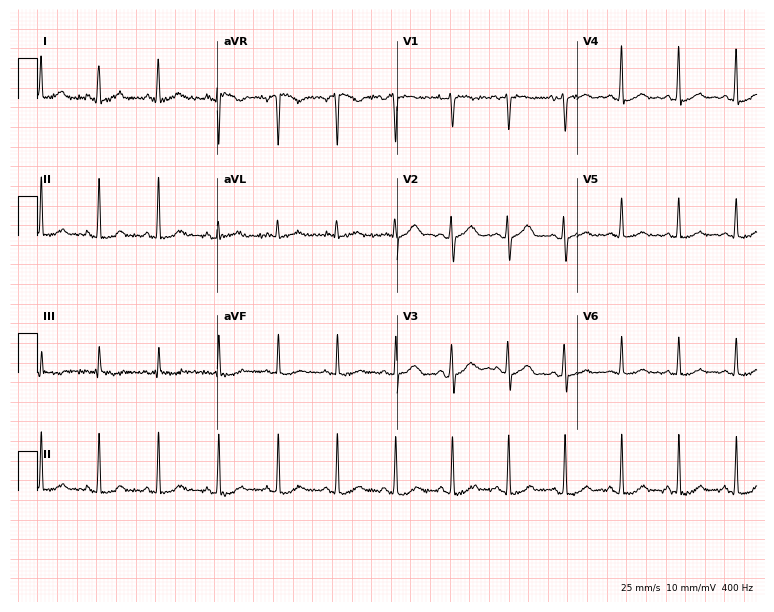
Standard 12-lead ECG recorded from a 49-year-old female. None of these six findings is recorded: first-degree AV block, right bundle branch block (RBBB), left bundle branch block (LBBB), sinus bradycardia, atrial fibrillation (AF), sinus tachycardia. Other findings, if any, are not listed.